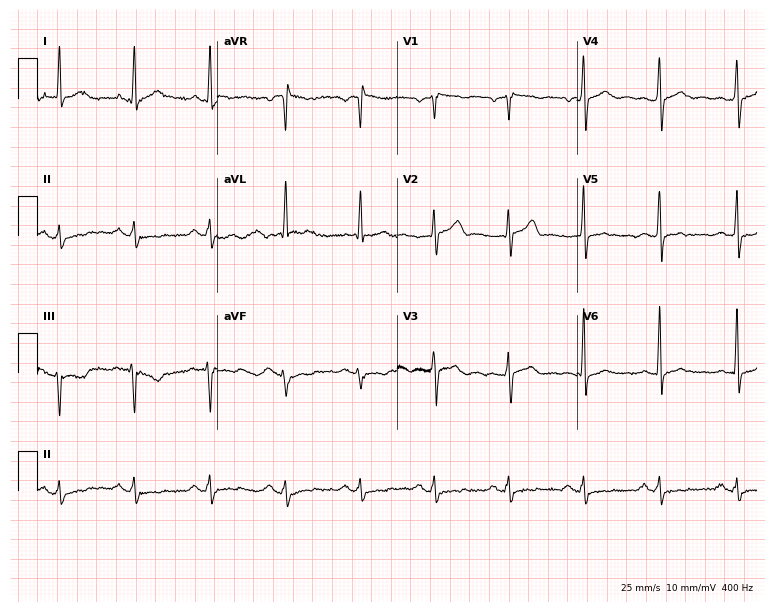
12-lead ECG (7.3-second recording at 400 Hz) from a 48-year-old man. Screened for six findings — first-degree AV block, right bundle branch block, left bundle branch block, sinus bradycardia, atrial fibrillation, sinus tachycardia — none is recorded. Other findings, if any, are not listed.